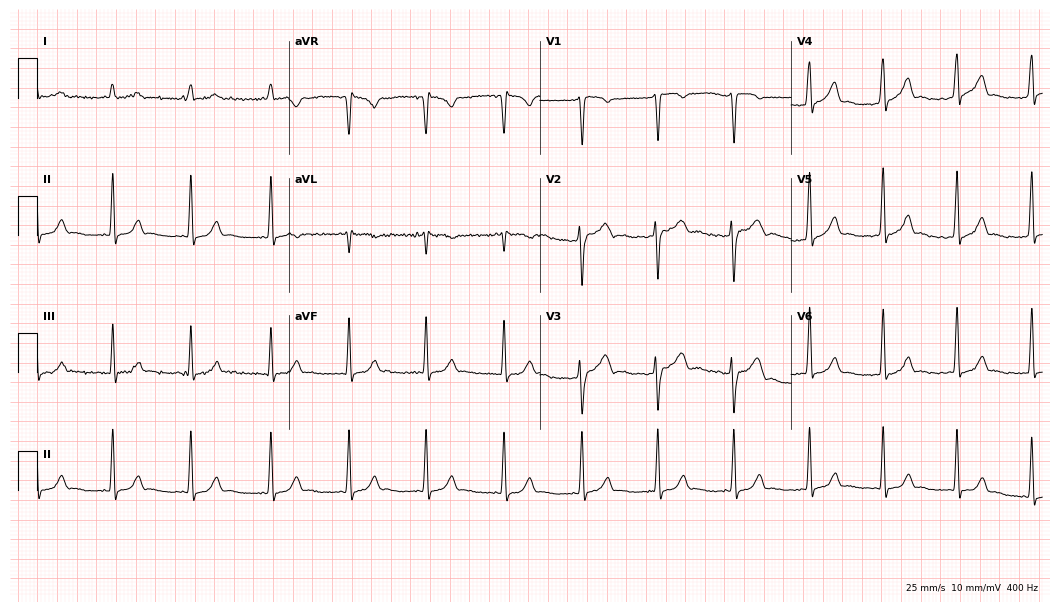
Electrocardiogram (10.2-second recording at 400 Hz), a female patient, 28 years old. Of the six screened findings (first-degree AV block, right bundle branch block, left bundle branch block, sinus bradycardia, atrial fibrillation, sinus tachycardia), none is recorded.